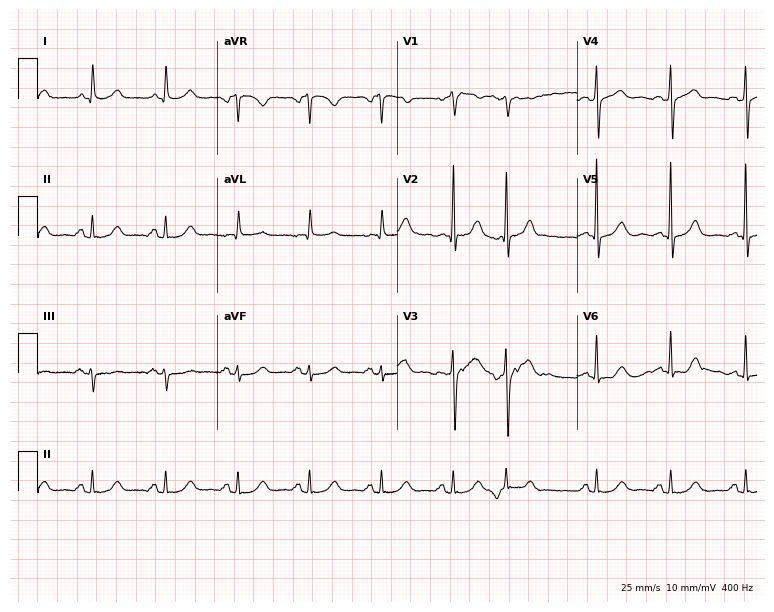
12-lead ECG from a woman, 82 years old (7.3-second recording at 400 Hz). No first-degree AV block, right bundle branch block (RBBB), left bundle branch block (LBBB), sinus bradycardia, atrial fibrillation (AF) or sinus tachycardia recorded for this tracing. Findings outside these six are not listed.